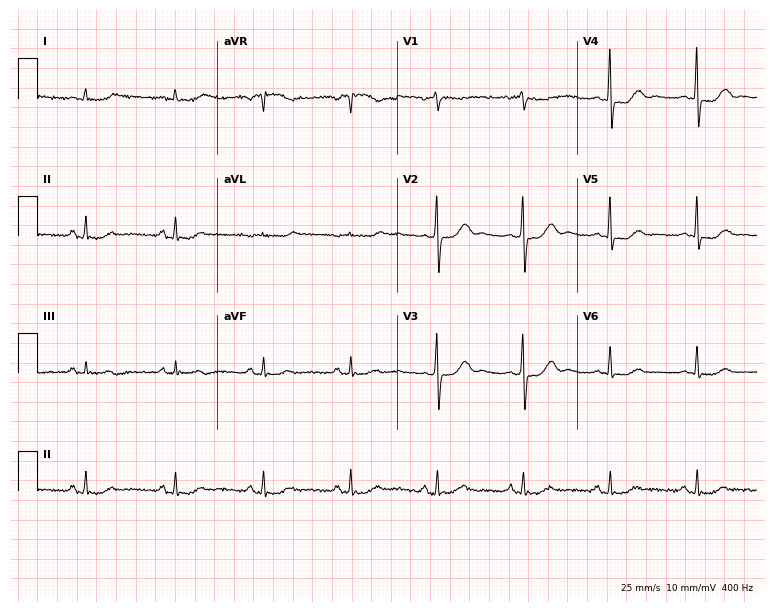
ECG — a 73-year-old male. Screened for six findings — first-degree AV block, right bundle branch block (RBBB), left bundle branch block (LBBB), sinus bradycardia, atrial fibrillation (AF), sinus tachycardia — none is recorded.